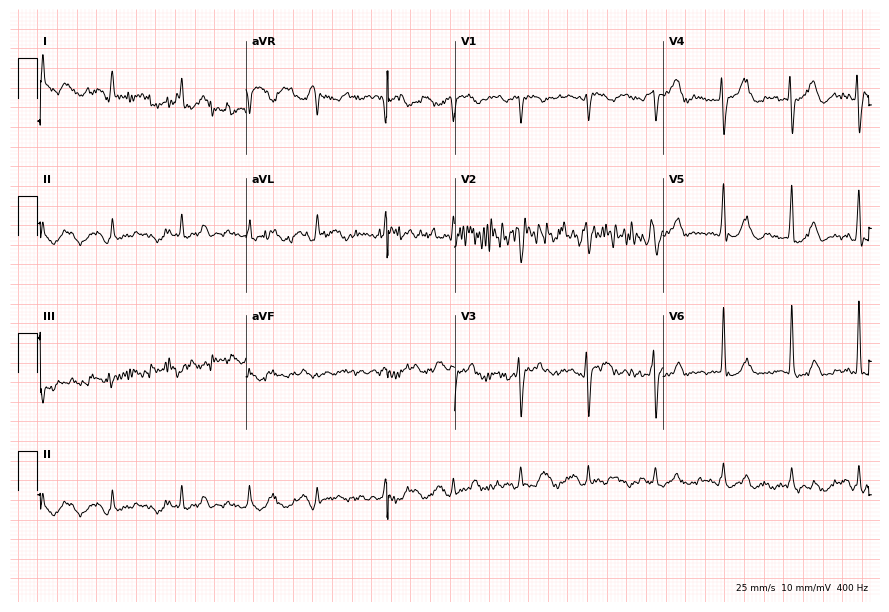
Electrocardiogram, a male patient, 78 years old. Of the six screened findings (first-degree AV block, right bundle branch block (RBBB), left bundle branch block (LBBB), sinus bradycardia, atrial fibrillation (AF), sinus tachycardia), none is recorded.